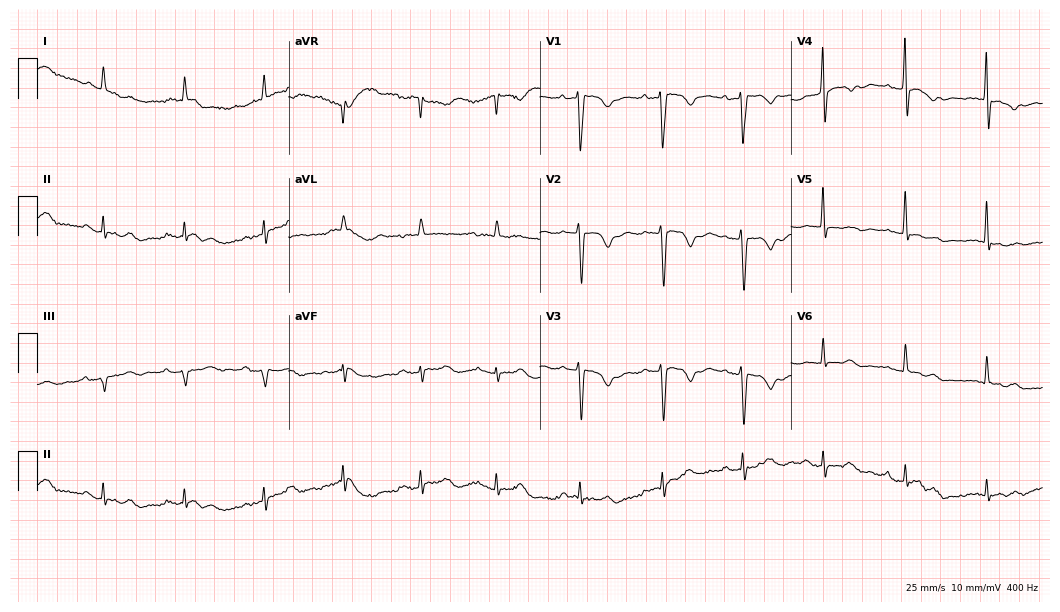
Electrocardiogram, an 80-year-old woman. Of the six screened findings (first-degree AV block, right bundle branch block, left bundle branch block, sinus bradycardia, atrial fibrillation, sinus tachycardia), none is recorded. Only these six findings were labelled.